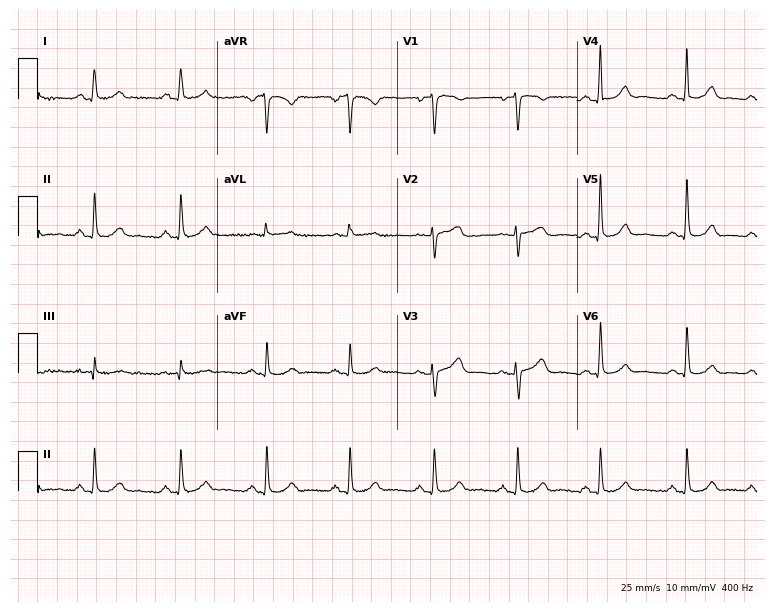
12-lead ECG from a female, 70 years old. Recorded interpretation: within normal limits.